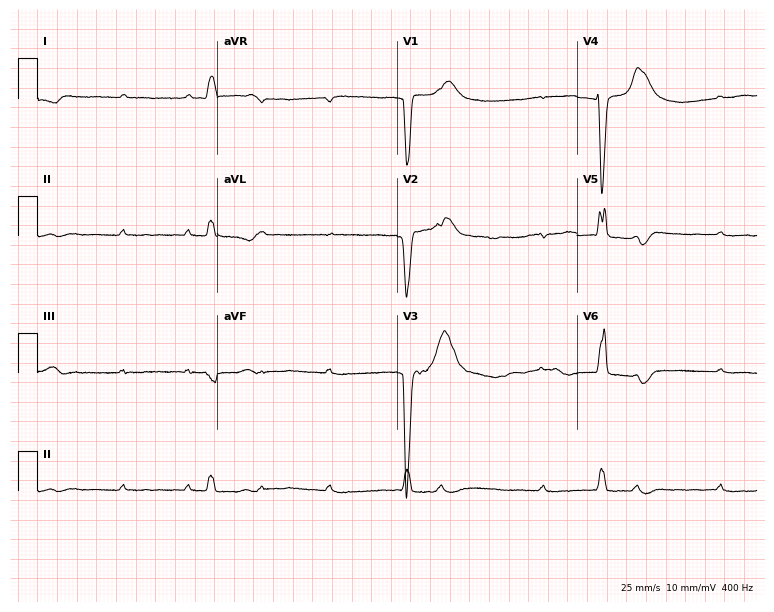
ECG — a female patient, 84 years old. Screened for six findings — first-degree AV block, right bundle branch block, left bundle branch block, sinus bradycardia, atrial fibrillation, sinus tachycardia — none is recorded. Only these six findings were labelled.